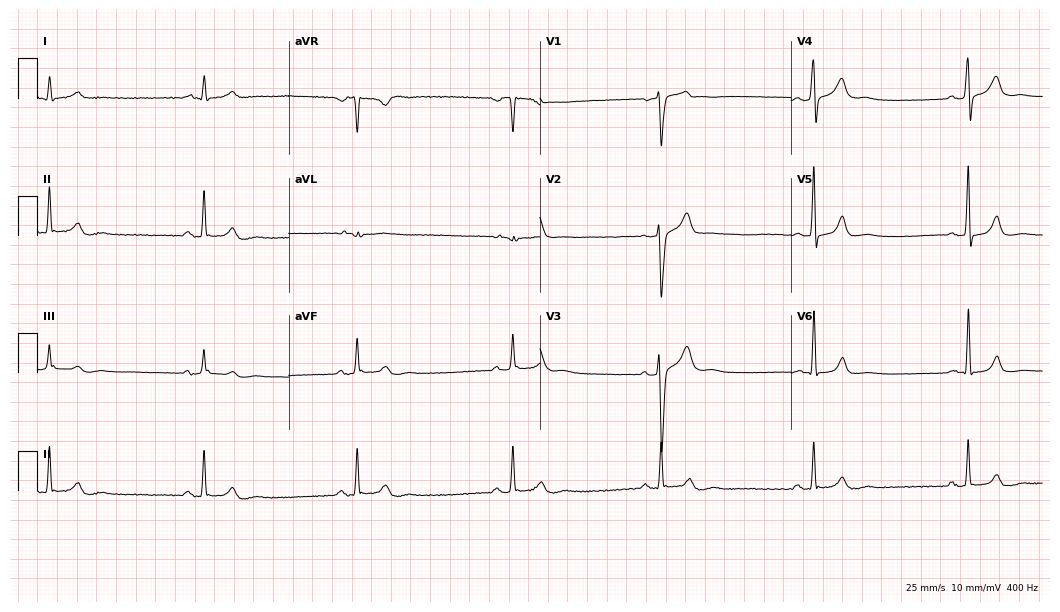
Resting 12-lead electrocardiogram. Patient: a male, 54 years old. The tracing shows sinus bradycardia (a sinus rate of 50 beats per minute or less).